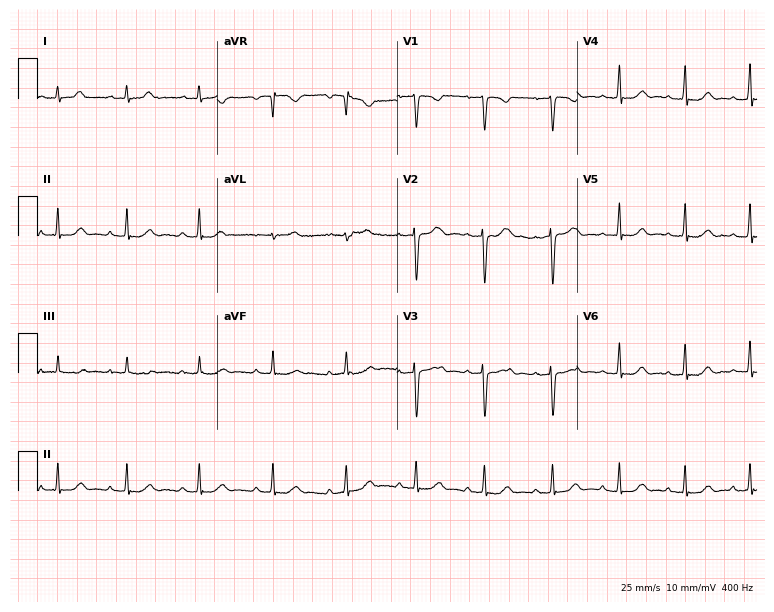
Resting 12-lead electrocardiogram (7.3-second recording at 400 Hz). Patient: a woman, 32 years old. Read as a normal ECG.